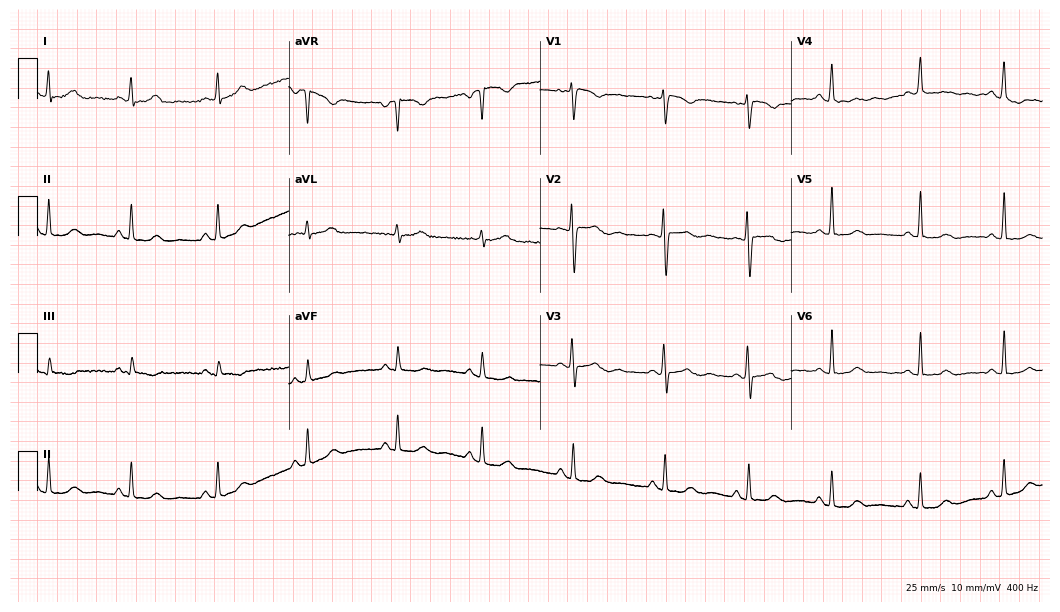
Resting 12-lead electrocardiogram (10.2-second recording at 400 Hz). Patient: a woman, 27 years old. None of these six findings is recorded: first-degree AV block, right bundle branch block, left bundle branch block, sinus bradycardia, atrial fibrillation, sinus tachycardia. Findings outside these six are not listed.